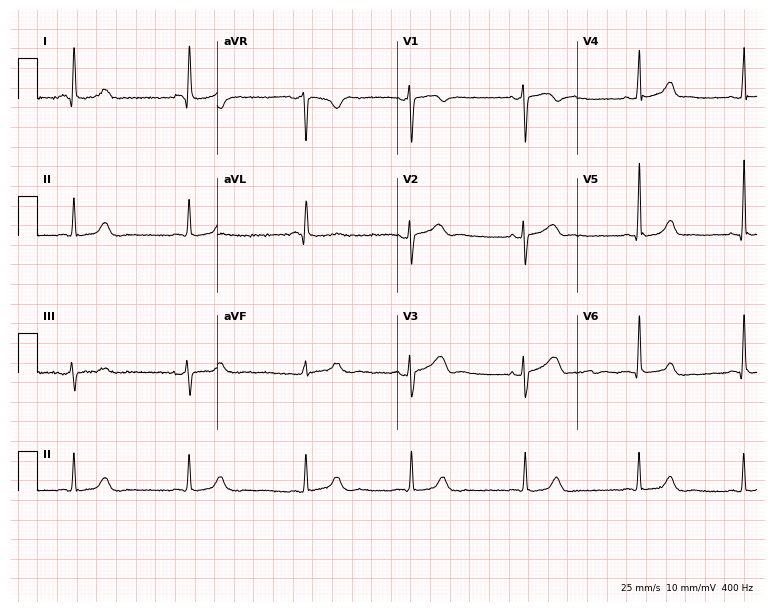
ECG — a female, 47 years old. Screened for six findings — first-degree AV block, right bundle branch block (RBBB), left bundle branch block (LBBB), sinus bradycardia, atrial fibrillation (AF), sinus tachycardia — none is recorded.